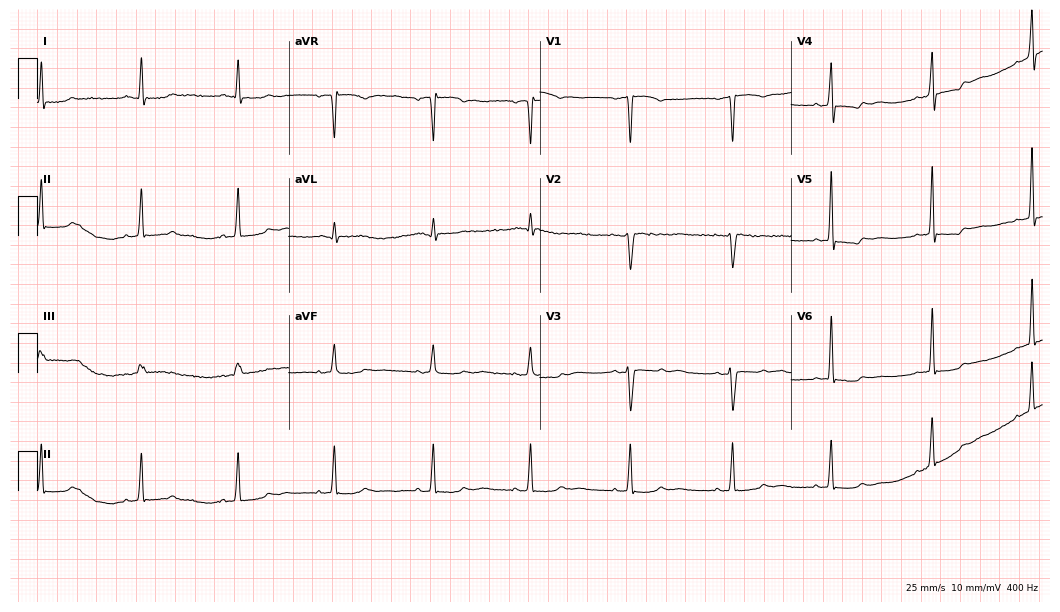
12-lead ECG (10.2-second recording at 400 Hz) from a woman, 58 years old. Screened for six findings — first-degree AV block, right bundle branch block, left bundle branch block, sinus bradycardia, atrial fibrillation, sinus tachycardia — none is recorded.